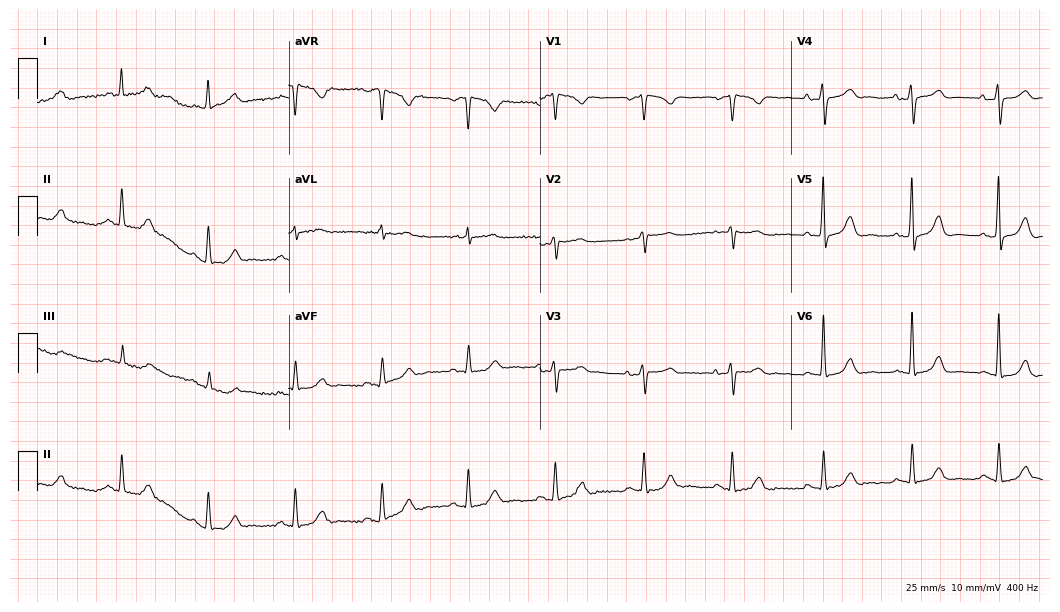
Electrocardiogram, a woman, 76 years old. Overall reading on record: normal ECG.